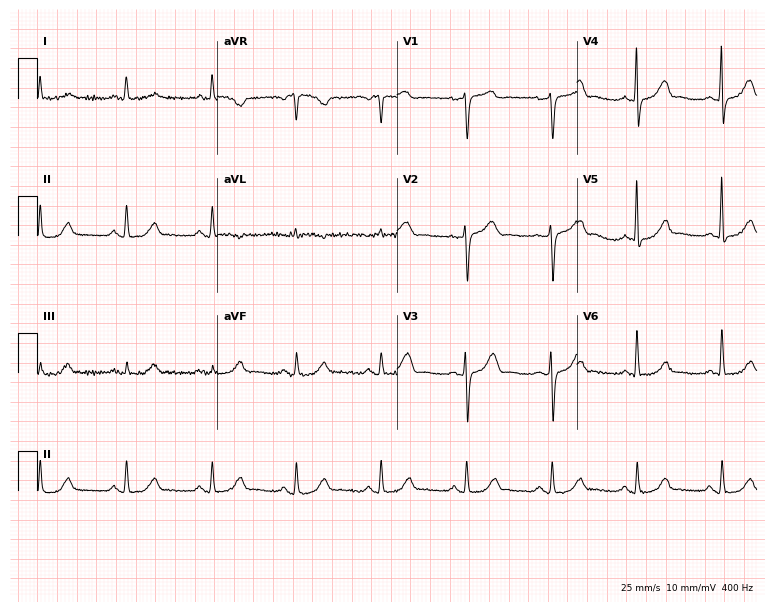
Resting 12-lead electrocardiogram. Patient: a 66-year-old female. Read as a normal ECG.